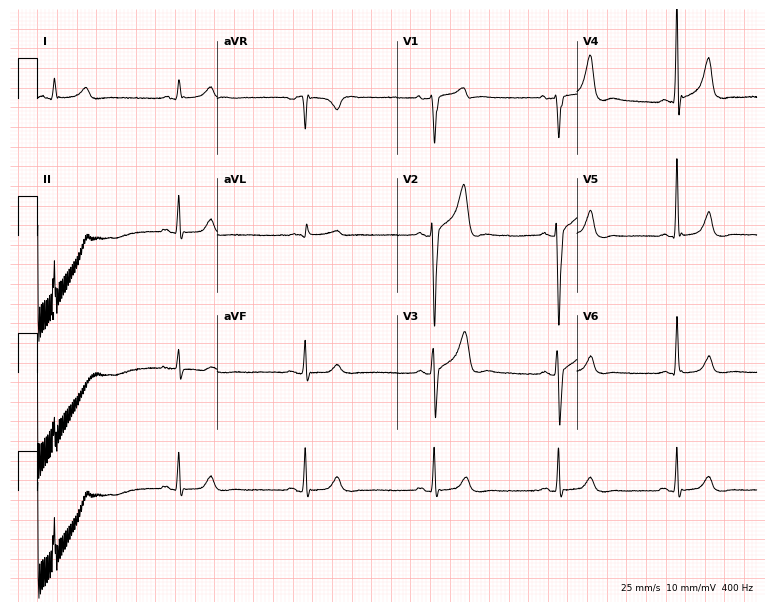
ECG — a 60-year-old male patient. Findings include sinus bradycardia (a sinus rate of 50 beats per minute or less).